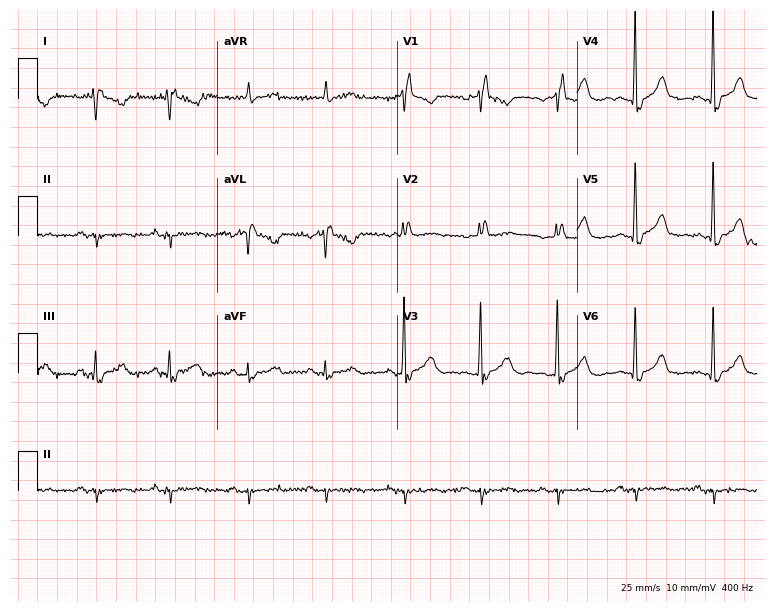
Standard 12-lead ECG recorded from a 60-year-old female patient (7.3-second recording at 400 Hz). None of these six findings is recorded: first-degree AV block, right bundle branch block (RBBB), left bundle branch block (LBBB), sinus bradycardia, atrial fibrillation (AF), sinus tachycardia. Findings outside these six are not listed.